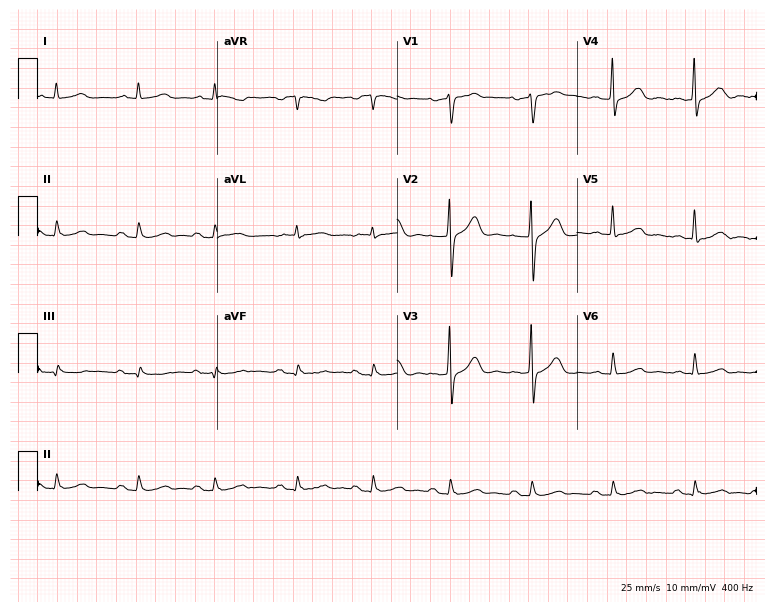
Resting 12-lead electrocardiogram. Patient: a man, 69 years old. None of these six findings is recorded: first-degree AV block, right bundle branch block, left bundle branch block, sinus bradycardia, atrial fibrillation, sinus tachycardia. Findings outside these six are not listed.